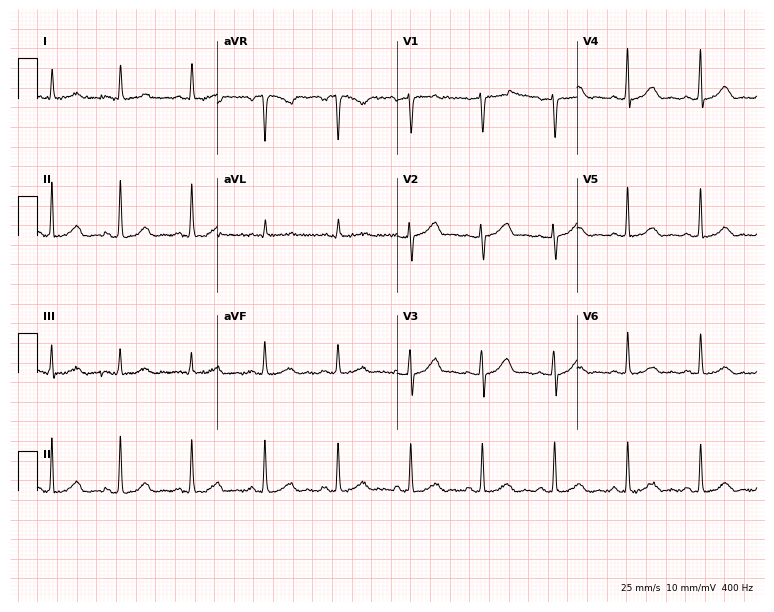
12-lead ECG from a 45-year-old female. Recorded interpretation: within normal limits.